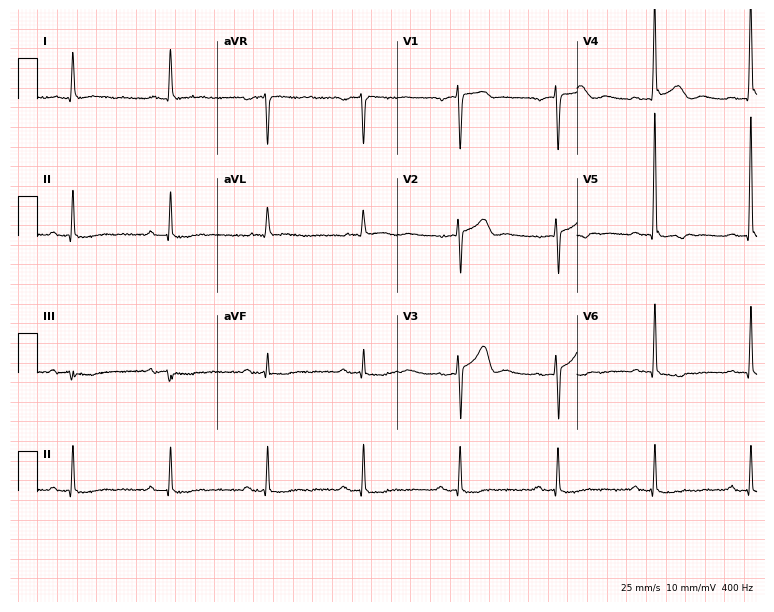
12-lead ECG (7.3-second recording at 400 Hz) from an 84-year-old man. Screened for six findings — first-degree AV block, right bundle branch block, left bundle branch block, sinus bradycardia, atrial fibrillation, sinus tachycardia — none is recorded.